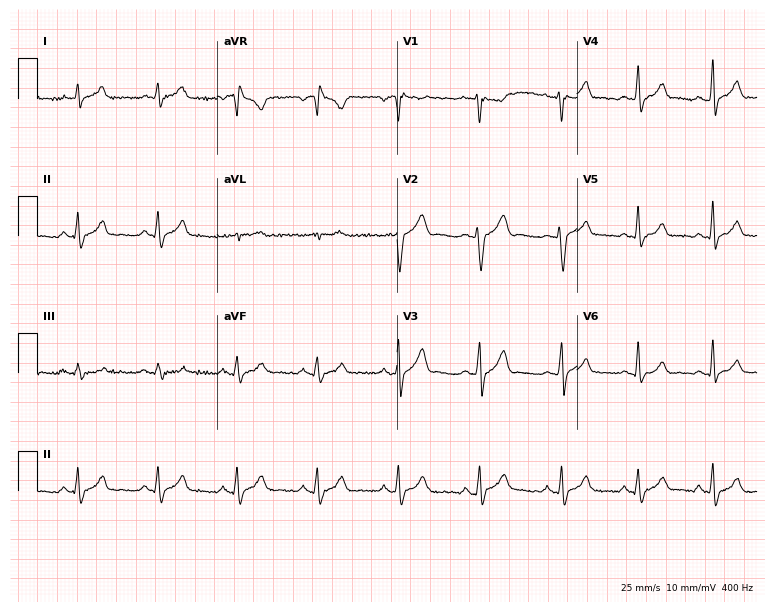
ECG — a 22-year-old male patient. Labelled as a normal ECG.